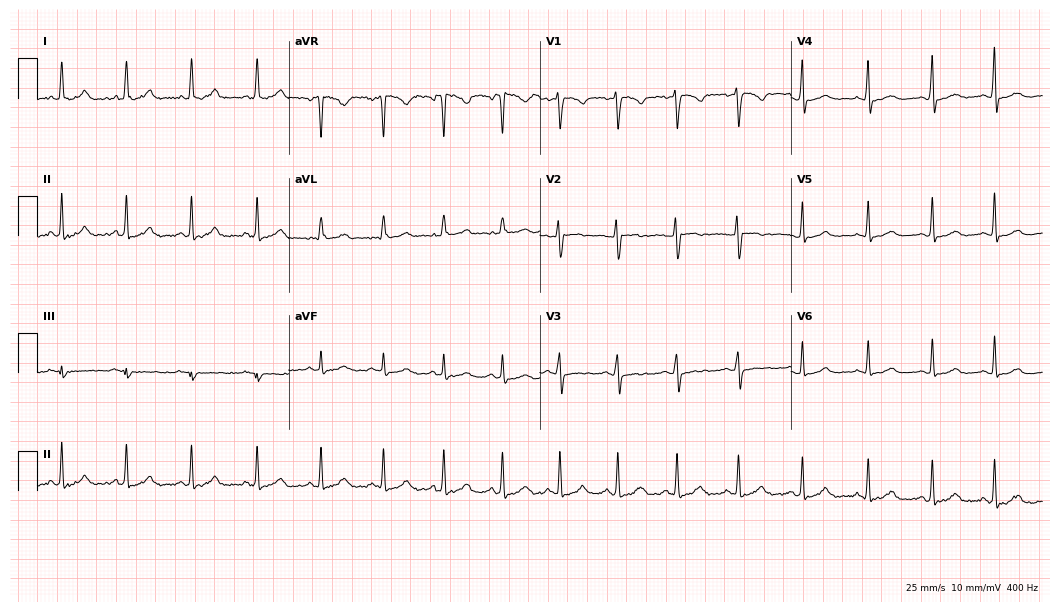
12-lead ECG (10.2-second recording at 400 Hz) from a female, 30 years old. Labelled as a normal ECG.